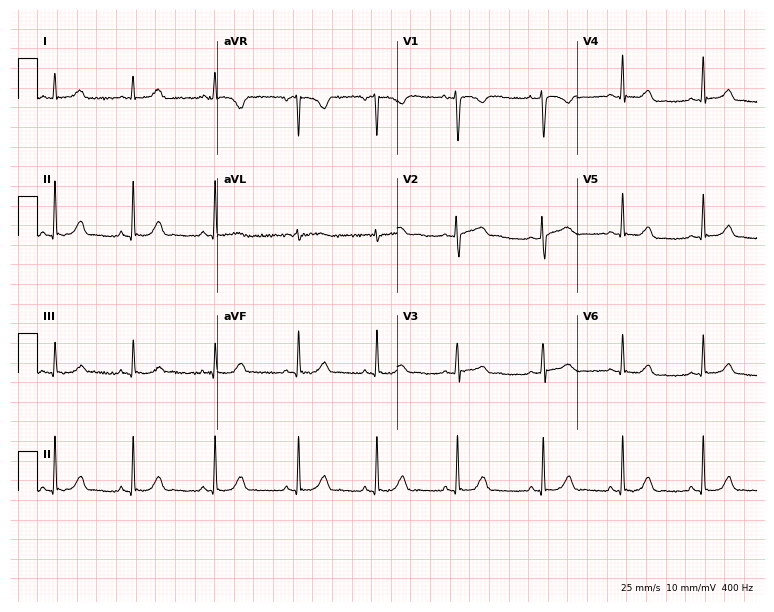
Standard 12-lead ECG recorded from a 21-year-old female patient (7.3-second recording at 400 Hz). Read as a normal ECG.